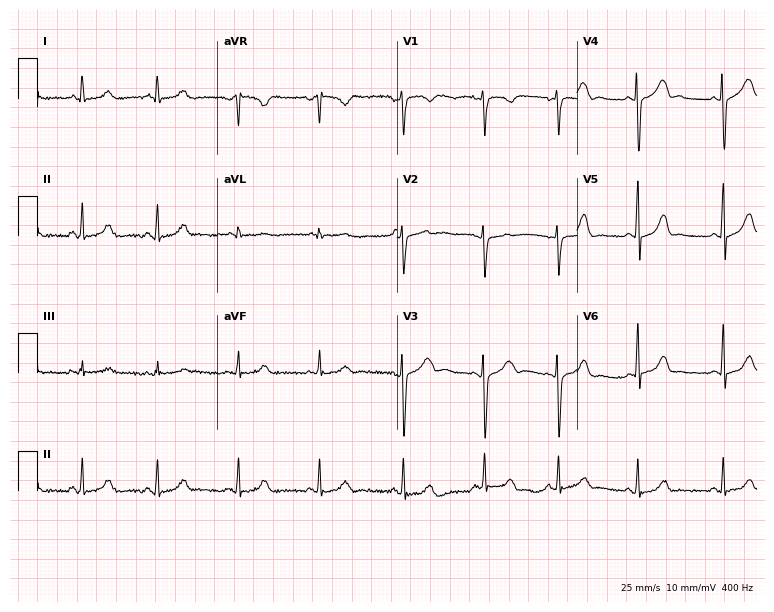
12-lead ECG (7.3-second recording at 400 Hz) from a woman, 18 years old. Labelled as a normal ECG.